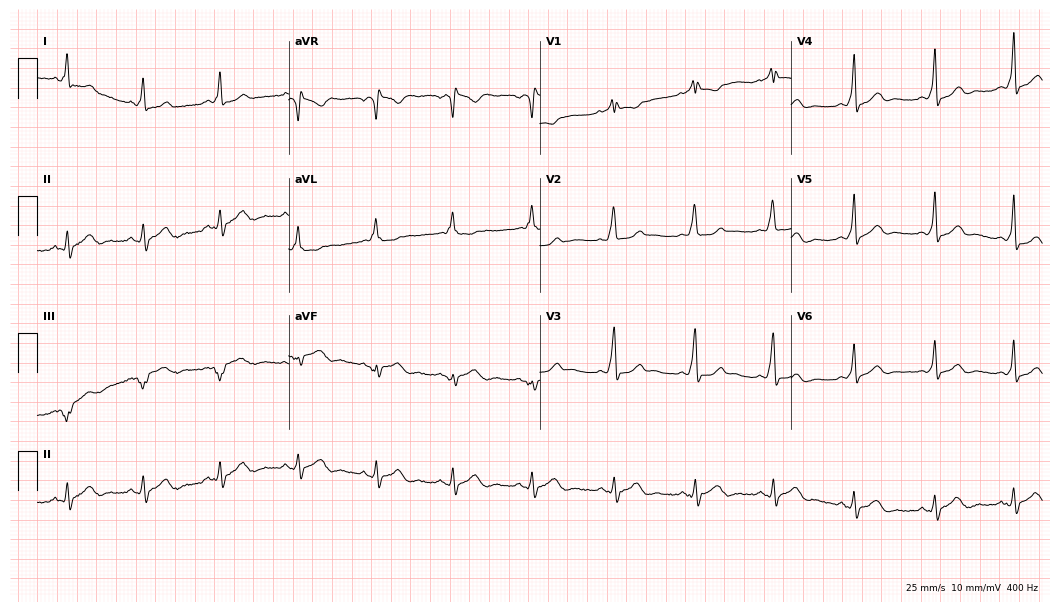
Resting 12-lead electrocardiogram. Patient: a 41-year-old female. None of these six findings is recorded: first-degree AV block, right bundle branch block, left bundle branch block, sinus bradycardia, atrial fibrillation, sinus tachycardia.